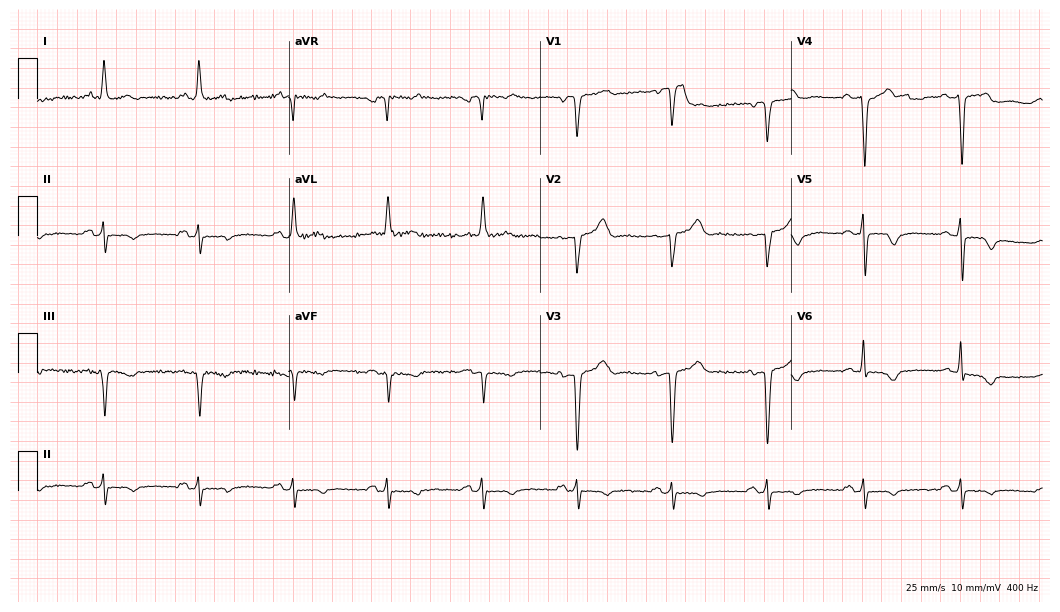
Electrocardiogram (10.2-second recording at 400 Hz), a man, 79 years old. Of the six screened findings (first-degree AV block, right bundle branch block (RBBB), left bundle branch block (LBBB), sinus bradycardia, atrial fibrillation (AF), sinus tachycardia), none is recorded. Other findings, if any, are not listed.